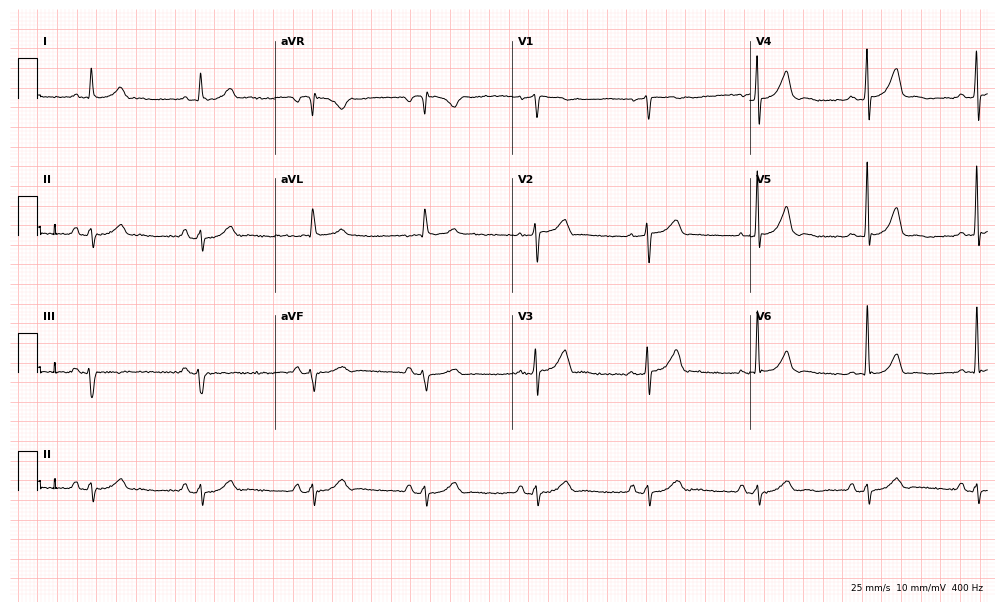
Resting 12-lead electrocardiogram (9.7-second recording at 400 Hz). Patient: a male, 61 years old. None of these six findings is recorded: first-degree AV block, right bundle branch block, left bundle branch block, sinus bradycardia, atrial fibrillation, sinus tachycardia.